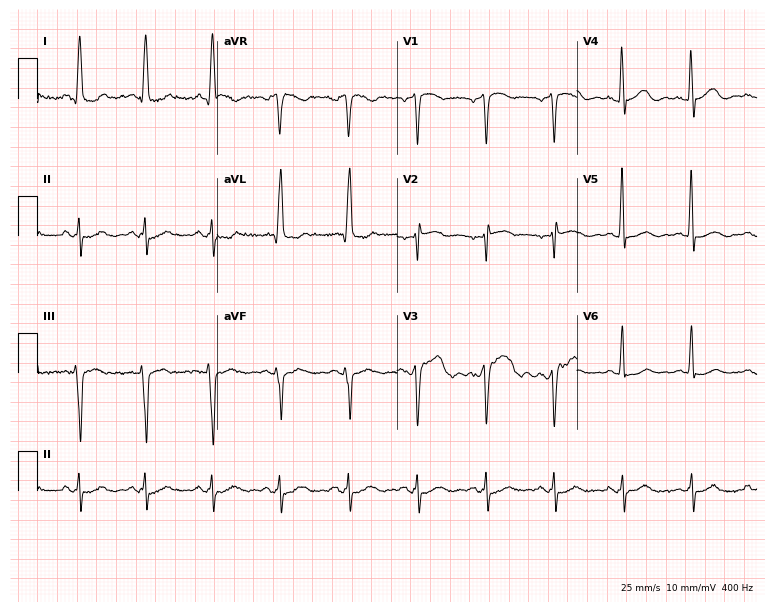
Standard 12-lead ECG recorded from a man, 74 years old. None of these six findings is recorded: first-degree AV block, right bundle branch block (RBBB), left bundle branch block (LBBB), sinus bradycardia, atrial fibrillation (AF), sinus tachycardia.